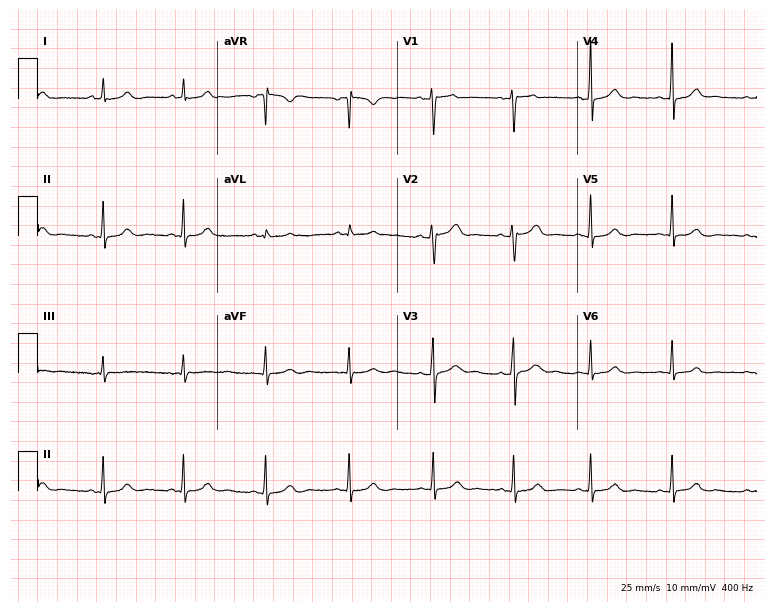
Resting 12-lead electrocardiogram (7.3-second recording at 400 Hz). Patient: a woman, 28 years old. Read as a normal ECG.